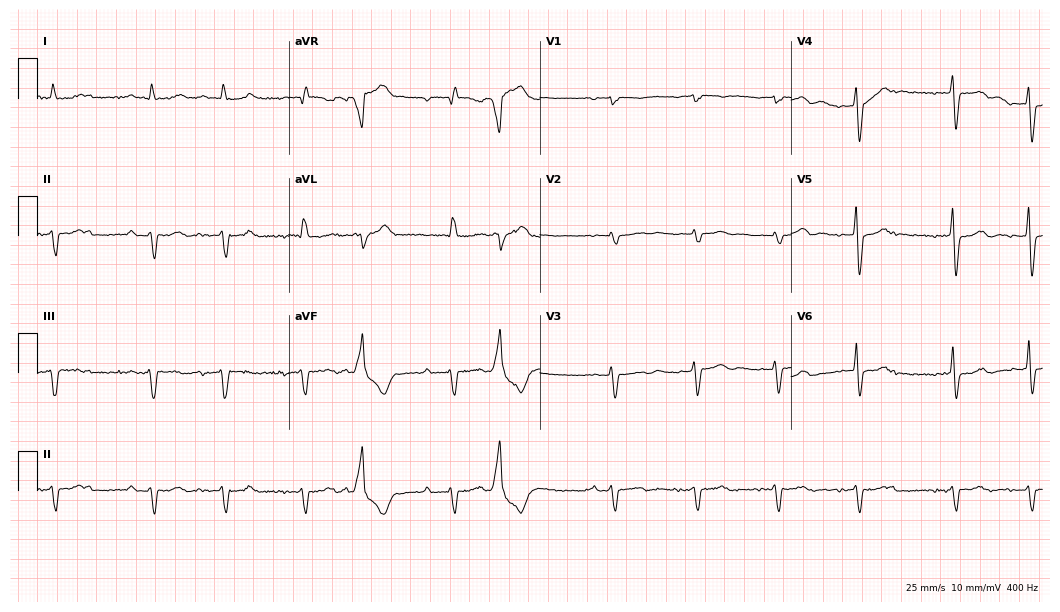
12-lead ECG from an 82-year-old male patient. No first-degree AV block, right bundle branch block, left bundle branch block, sinus bradycardia, atrial fibrillation or sinus tachycardia recorded for this tracing. Findings outside these six are not listed.